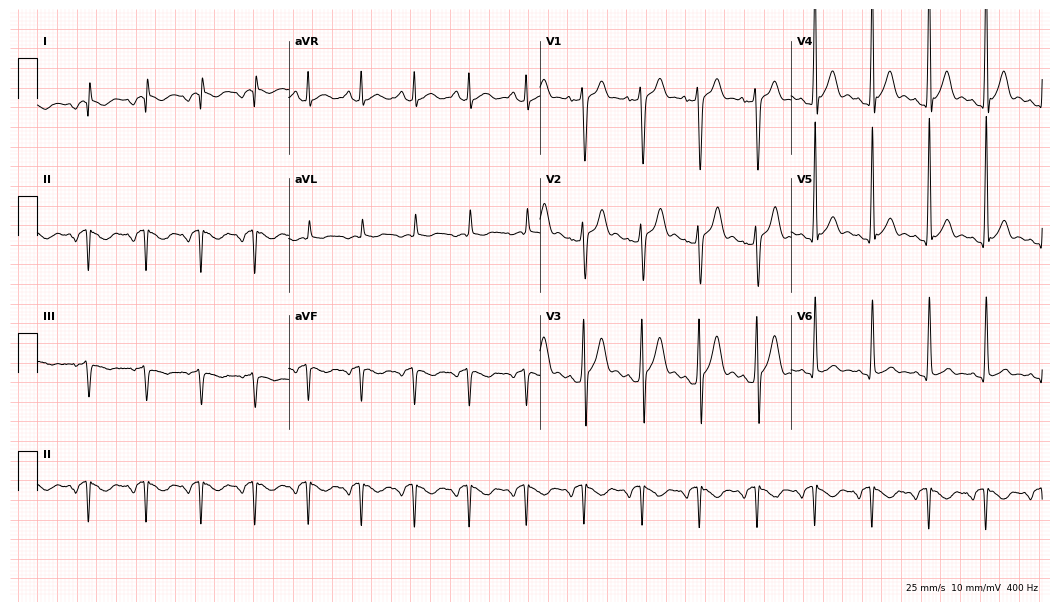
ECG (10.2-second recording at 400 Hz) — a male patient, 23 years old. Screened for six findings — first-degree AV block, right bundle branch block, left bundle branch block, sinus bradycardia, atrial fibrillation, sinus tachycardia — none is recorded. Only these six findings were labelled.